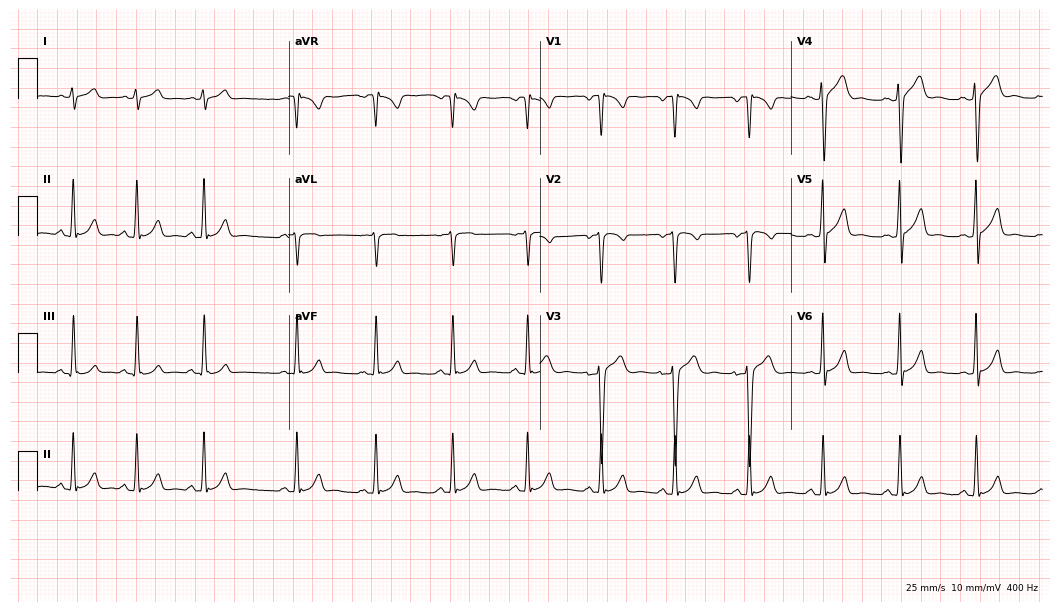
12-lead ECG from a man, 19 years old. Recorded interpretation: within normal limits.